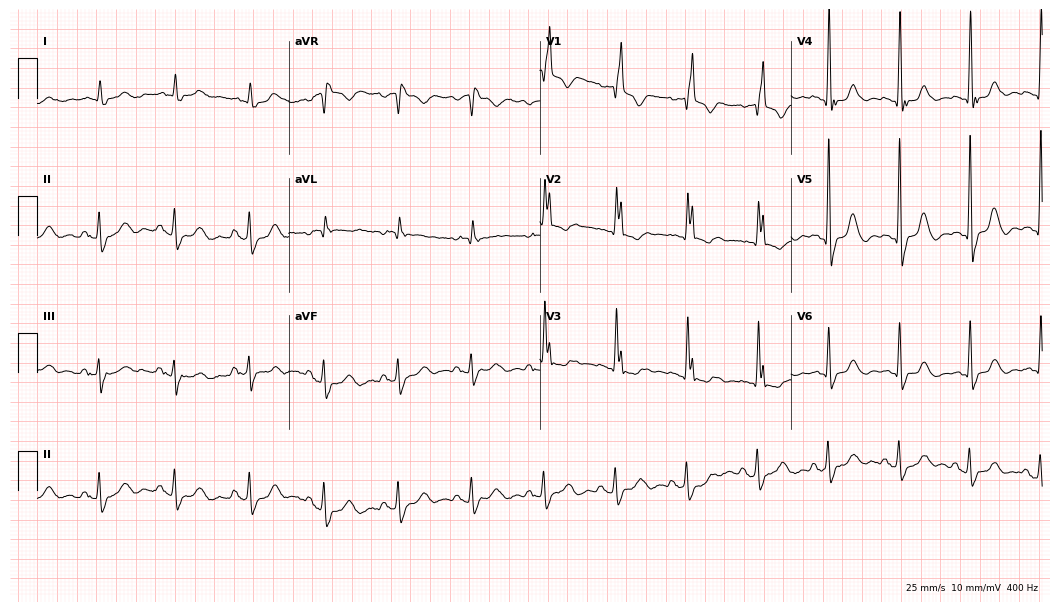
Electrocardiogram (10.2-second recording at 400 Hz), a 75-year-old woman. Of the six screened findings (first-degree AV block, right bundle branch block (RBBB), left bundle branch block (LBBB), sinus bradycardia, atrial fibrillation (AF), sinus tachycardia), none is recorded. Only these six findings were labelled.